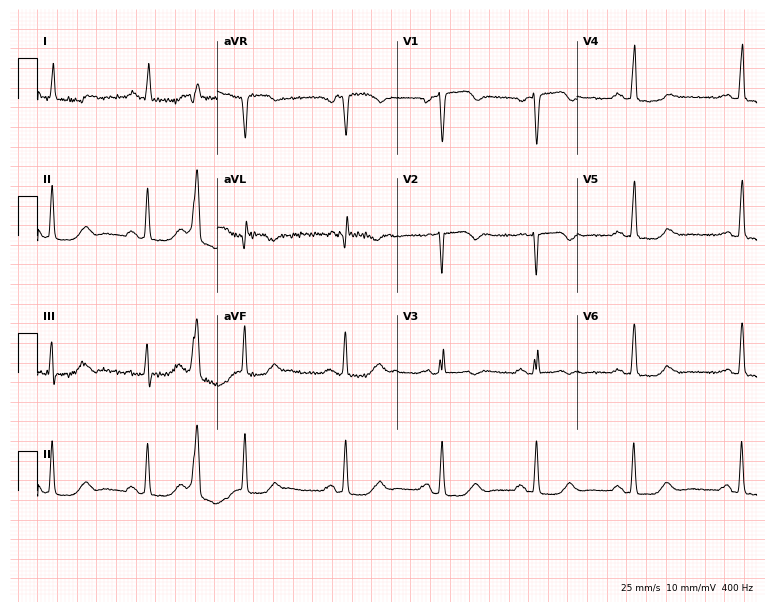
Electrocardiogram, a 68-year-old woman. Overall reading on record: normal ECG.